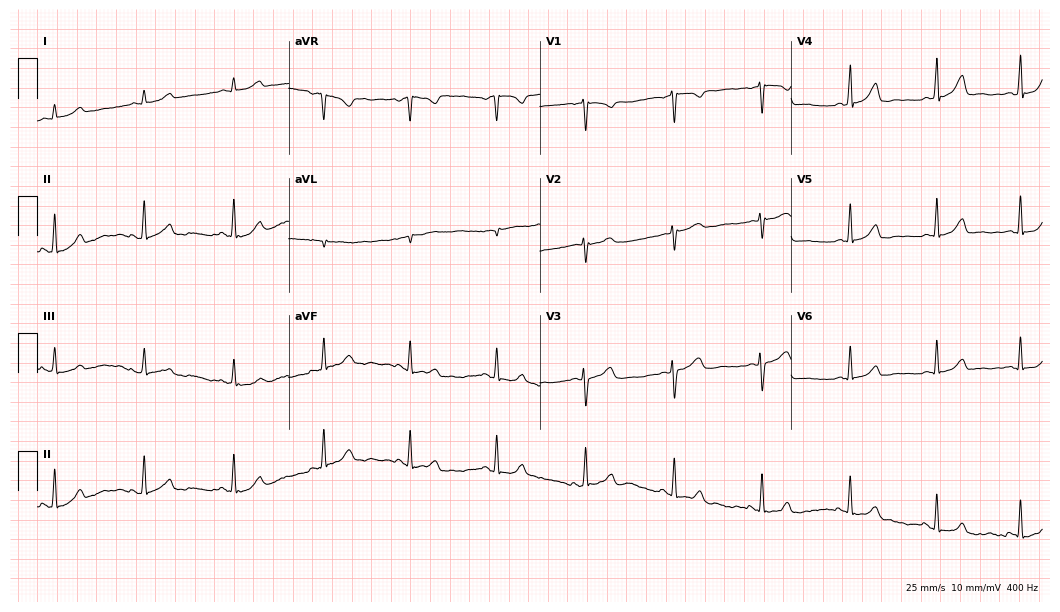
12-lead ECG from a female, 28 years old. Recorded interpretation: within normal limits.